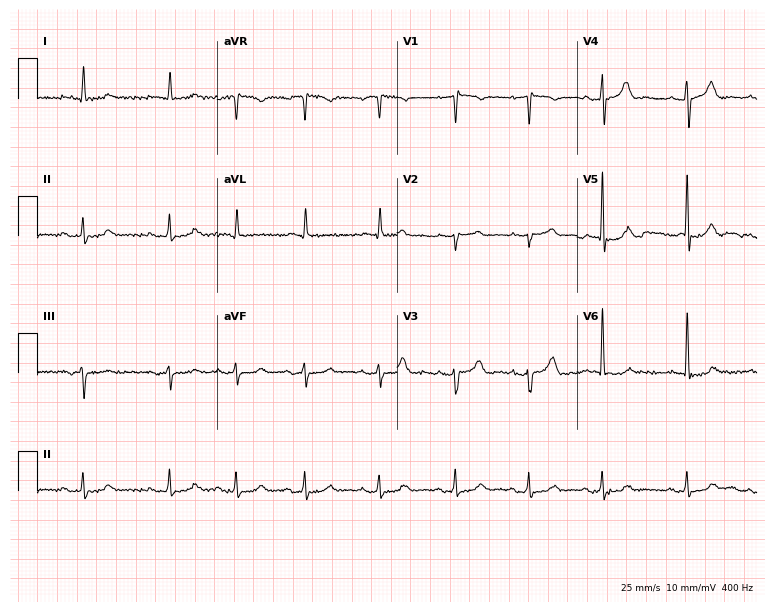
12-lead ECG from an 81-year-old male patient. Labelled as a normal ECG.